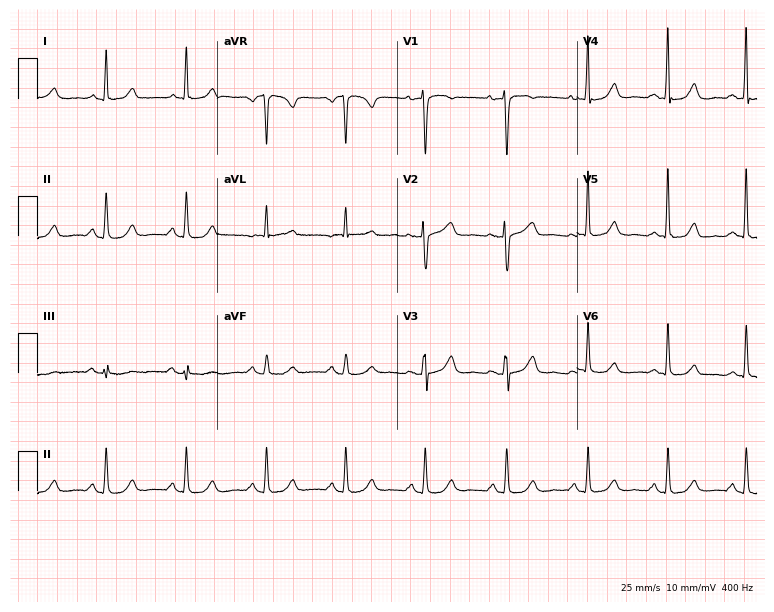
Electrocardiogram, a 60-year-old woman. Overall reading on record: normal ECG.